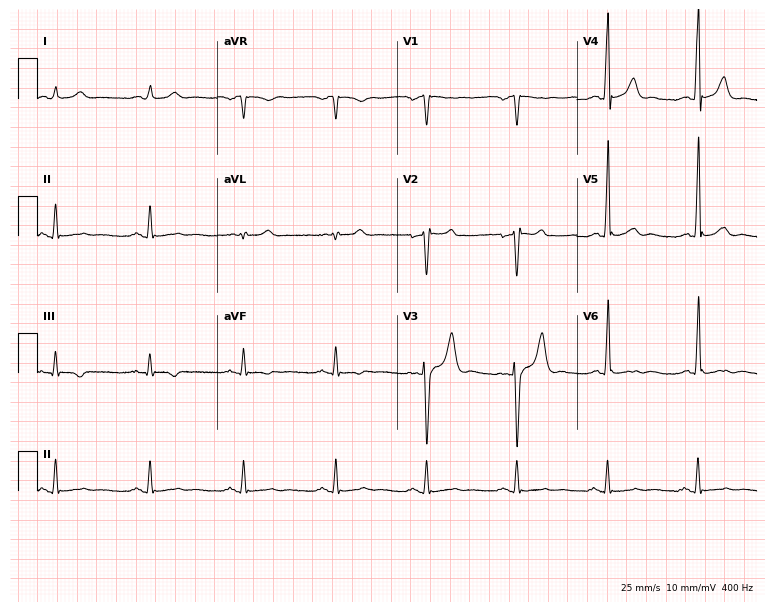
12-lead ECG from a 48-year-old man. Screened for six findings — first-degree AV block, right bundle branch block, left bundle branch block, sinus bradycardia, atrial fibrillation, sinus tachycardia — none is recorded.